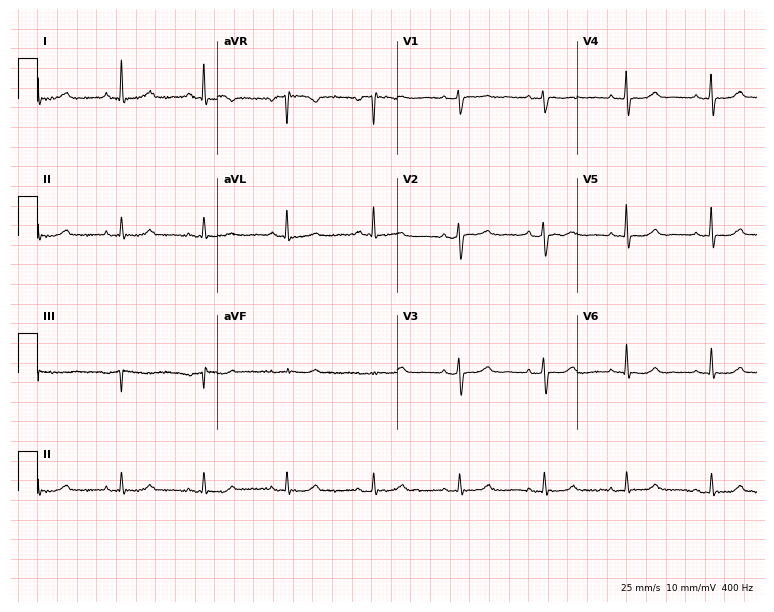
Resting 12-lead electrocardiogram (7.3-second recording at 400 Hz). Patient: a 65-year-old woman. Read as a normal ECG.